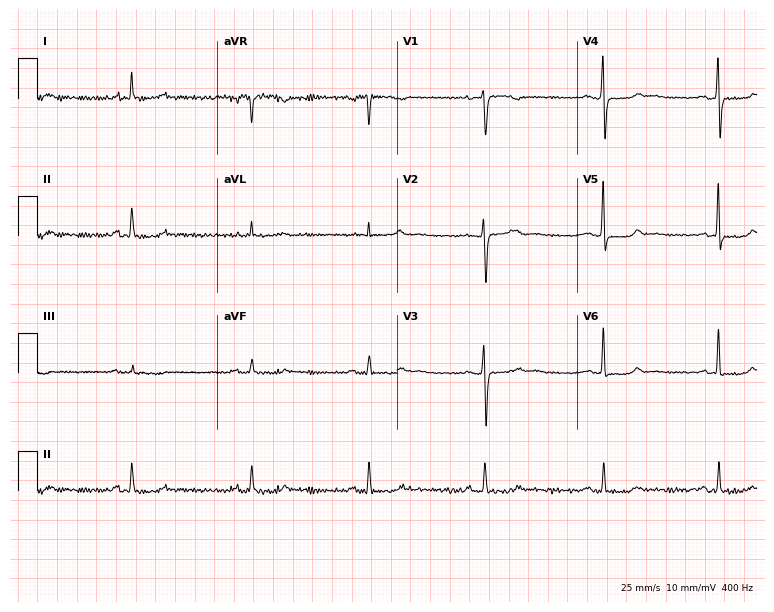
12-lead ECG from a female patient, 58 years old. Shows sinus bradycardia (a sinus rate of 50 beats per minute or less).